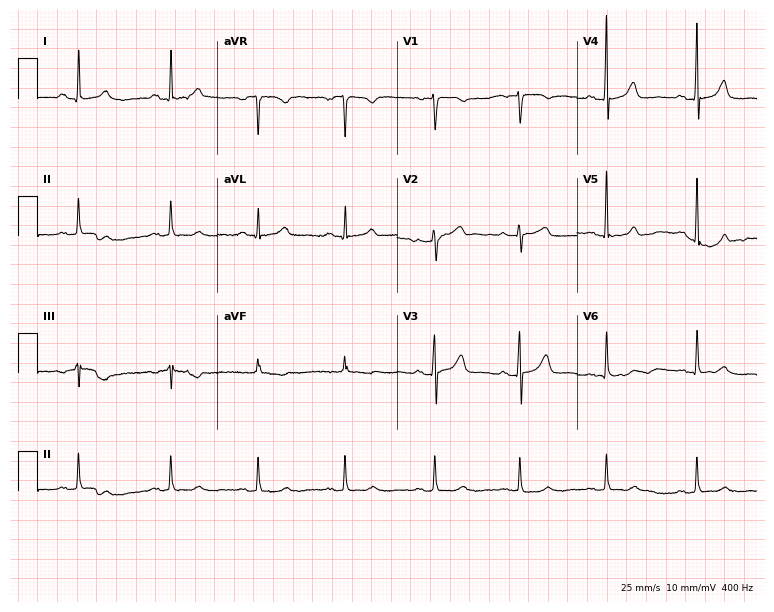
12-lead ECG from a 47-year-old female patient. Labelled as a normal ECG.